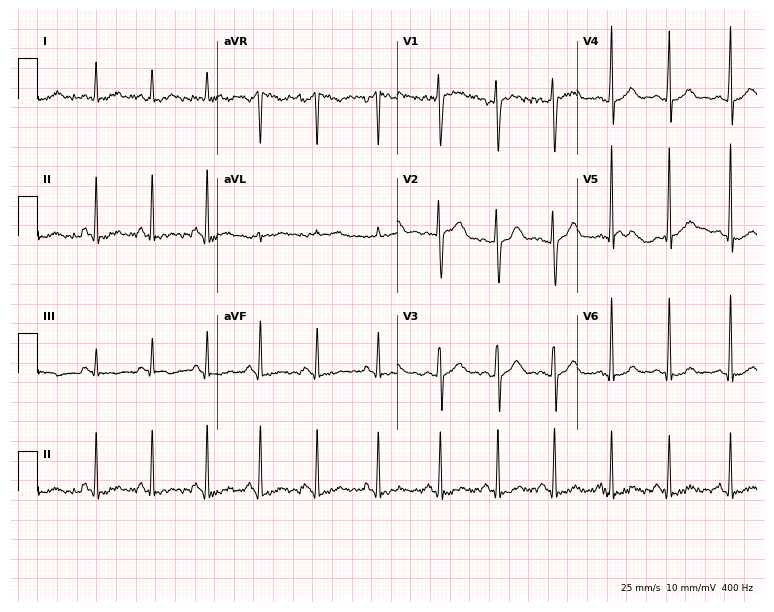
Electrocardiogram, a female patient, 25 years old. Interpretation includes sinus tachycardia (a sinus rate of 100 beats per minute or more).